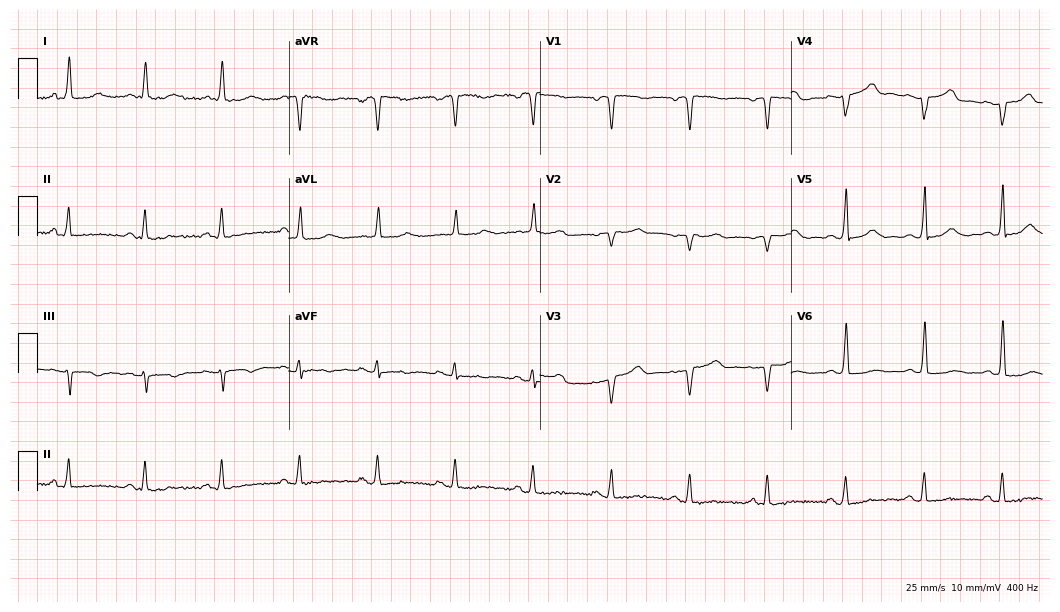
12-lead ECG from a woman, 80 years old. No first-degree AV block, right bundle branch block, left bundle branch block, sinus bradycardia, atrial fibrillation or sinus tachycardia recorded for this tracing.